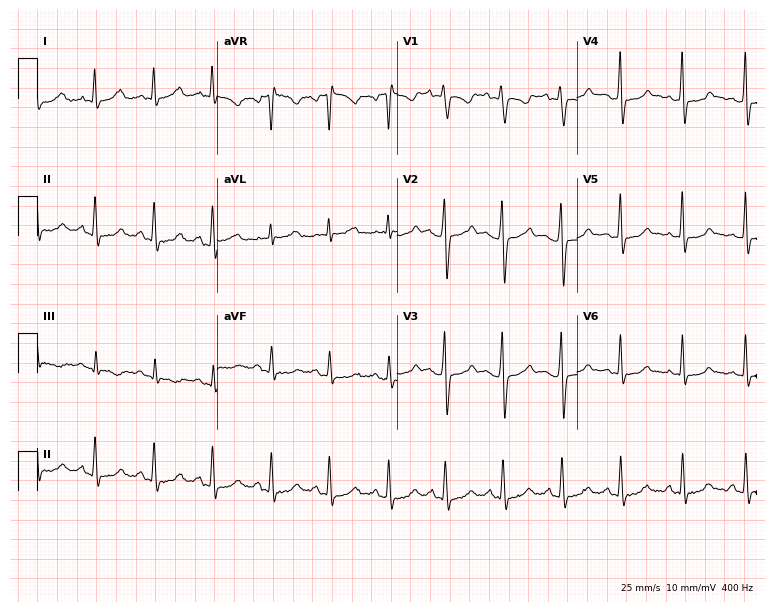
ECG (7.3-second recording at 400 Hz) — a female patient, 19 years old. Screened for six findings — first-degree AV block, right bundle branch block, left bundle branch block, sinus bradycardia, atrial fibrillation, sinus tachycardia — none is recorded.